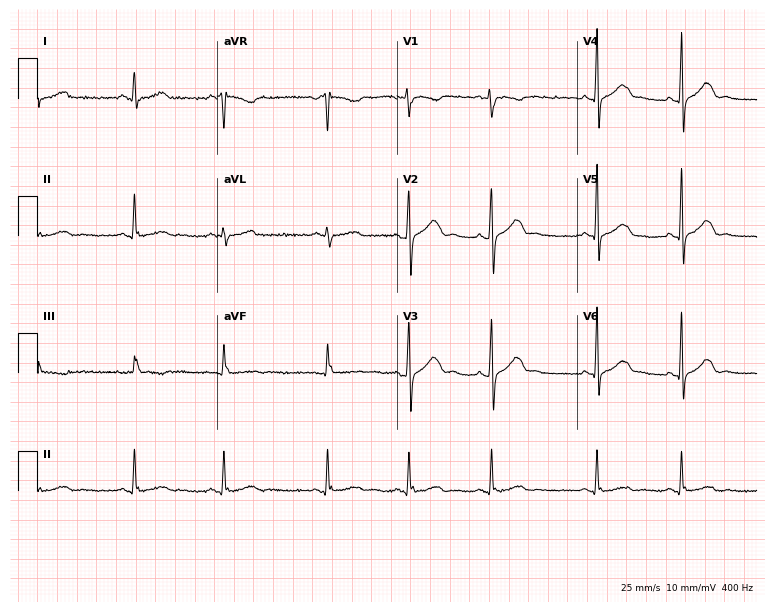
12-lead ECG from a 21-year-old female patient. Labelled as a normal ECG.